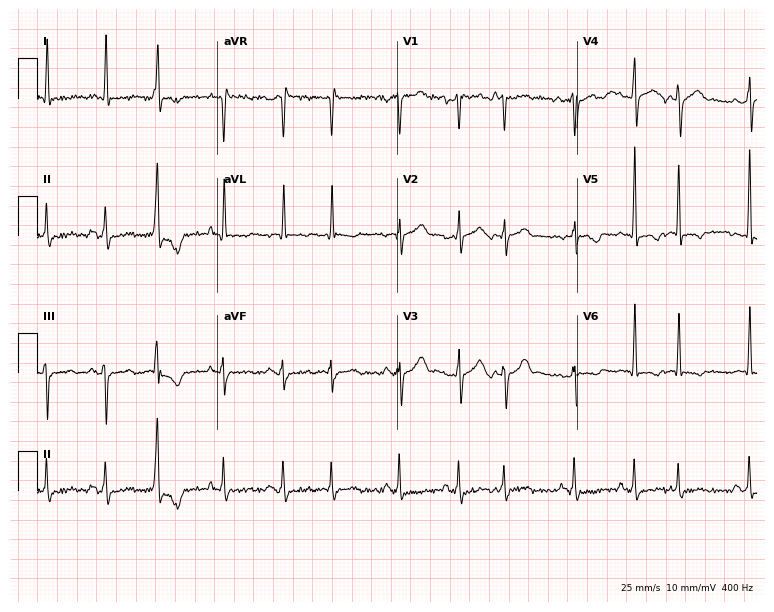
12-lead ECG from a 60-year-old male. Screened for six findings — first-degree AV block, right bundle branch block, left bundle branch block, sinus bradycardia, atrial fibrillation, sinus tachycardia — none is recorded. Findings outside these six are not listed.